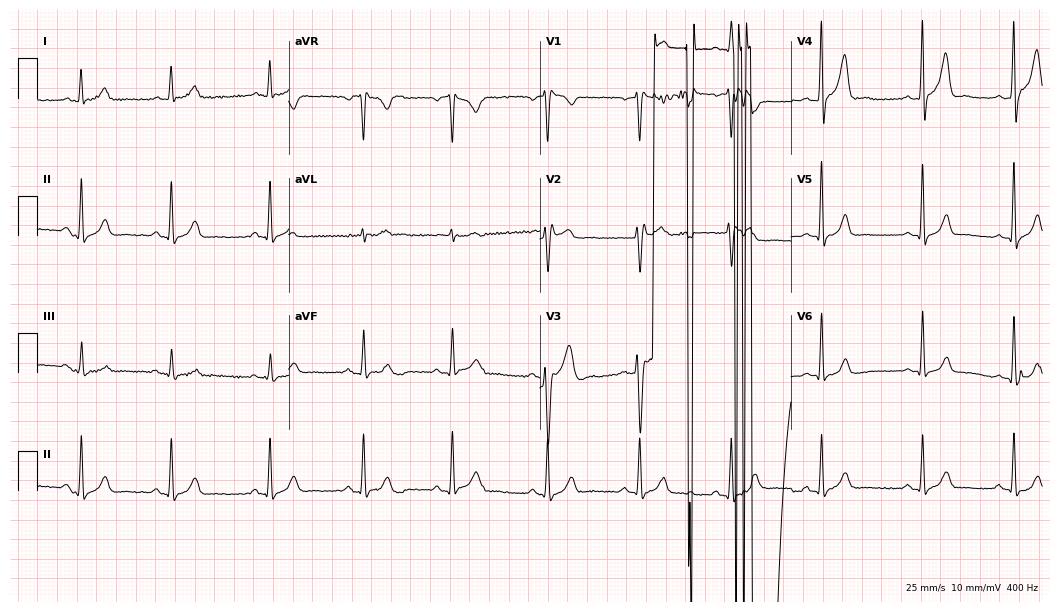
ECG — a man, 49 years old. Screened for six findings — first-degree AV block, right bundle branch block (RBBB), left bundle branch block (LBBB), sinus bradycardia, atrial fibrillation (AF), sinus tachycardia — none is recorded.